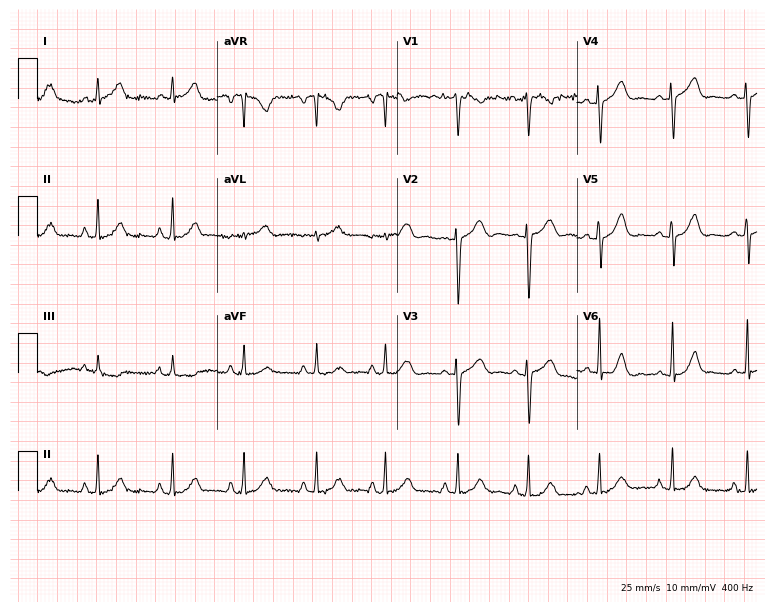
12-lead ECG (7.3-second recording at 400 Hz) from a female, 18 years old. Labelled as a normal ECG.